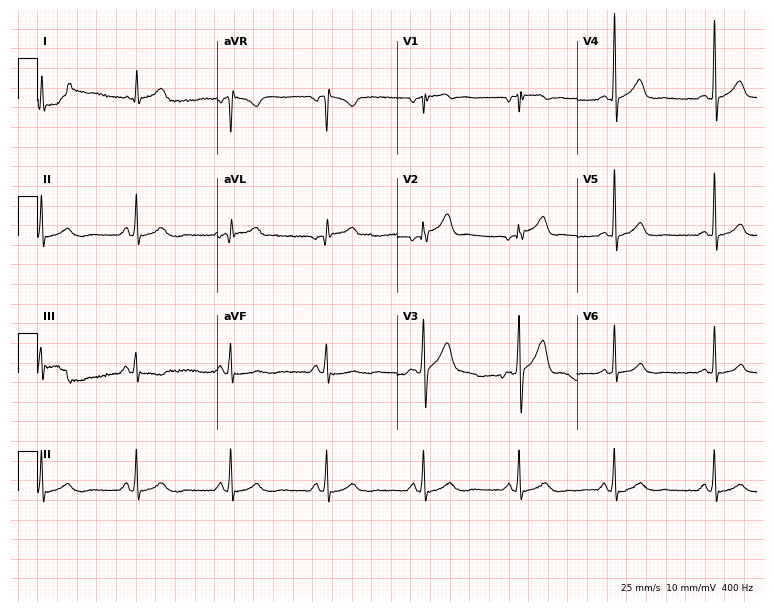
12-lead ECG from a 43-year-old female. Recorded interpretation: within normal limits.